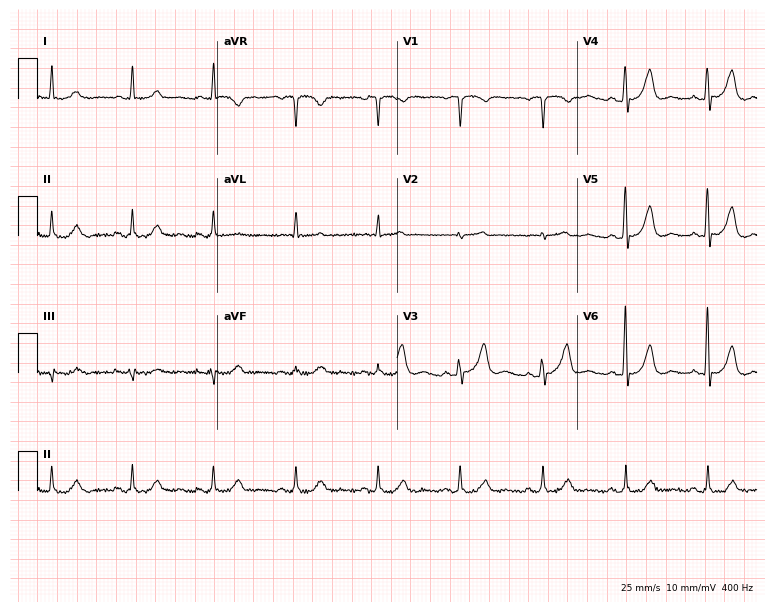
Standard 12-lead ECG recorded from a male patient, 84 years old. Read as a normal ECG.